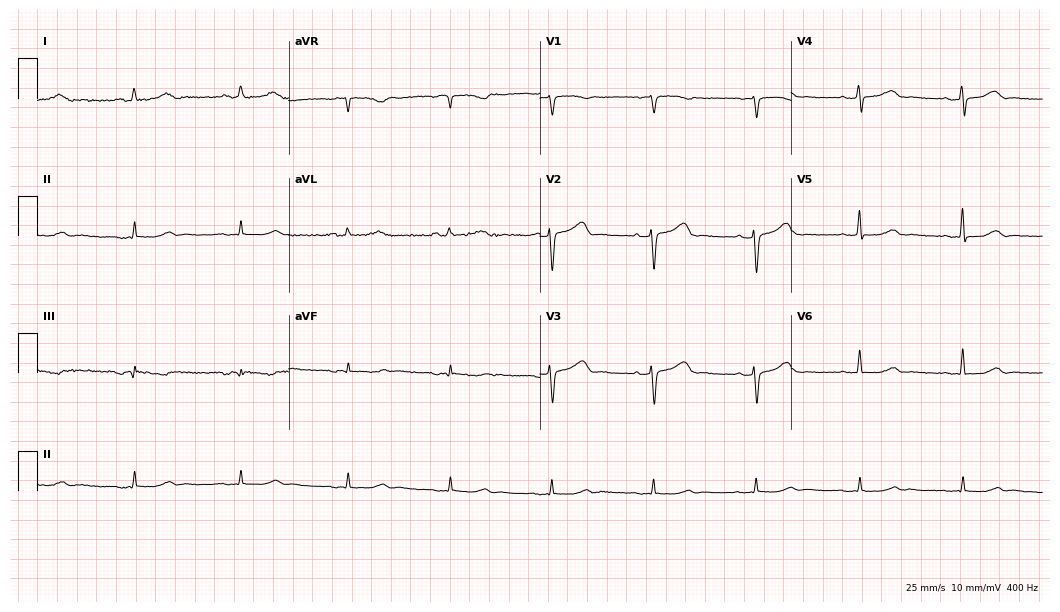
12-lead ECG from a woman, 60 years old. No first-degree AV block, right bundle branch block, left bundle branch block, sinus bradycardia, atrial fibrillation or sinus tachycardia recorded for this tracing.